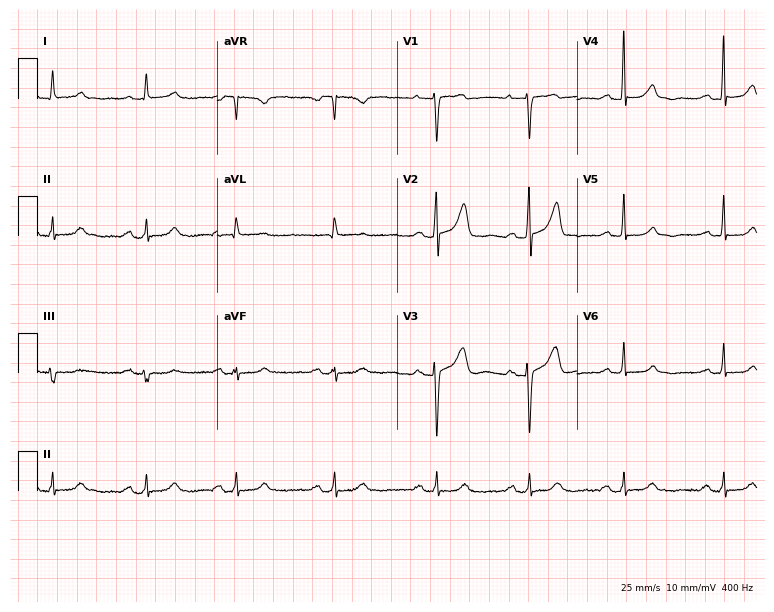
Resting 12-lead electrocardiogram (7.3-second recording at 400 Hz). Patient: a 51-year-old female. Read as a normal ECG.